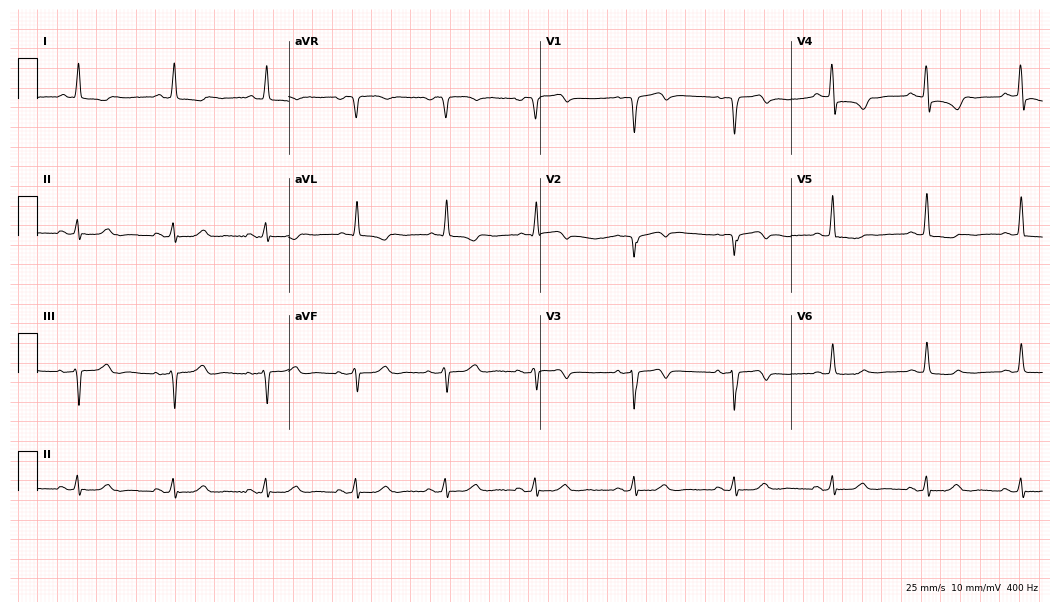
12-lead ECG from an 82-year-old male patient. No first-degree AV block, right bundle branch block, left bundle branch block, sinus bradycardia, atrial fibrillation or sinus tachycardia recorded for this tracing. Only these six findings were labelled.